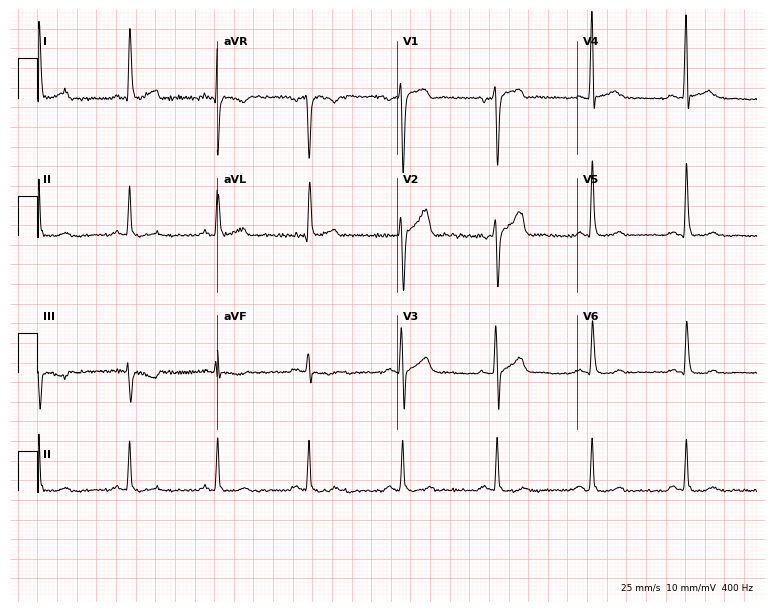
12-lead ECG from a 42-year-old man. Recorded interpretation: within normal limits.